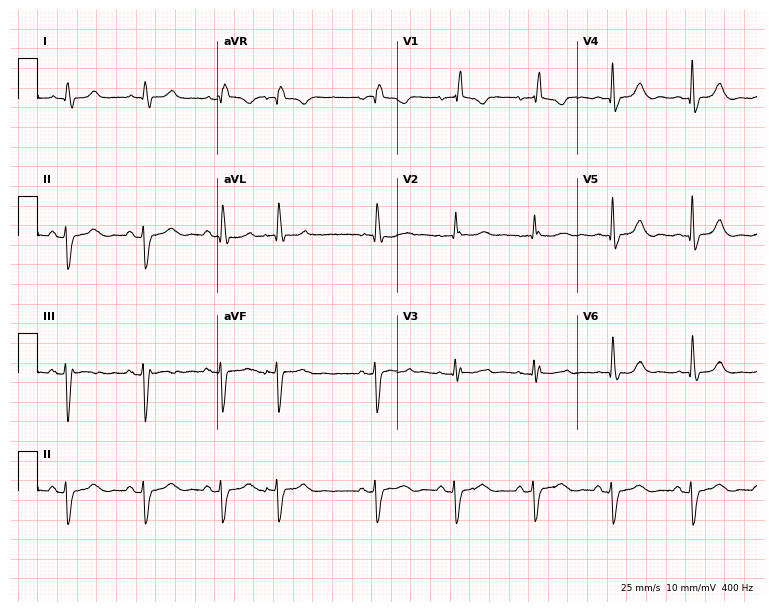
12-lead ECG (7.3-second recording at 400 Hz) from an 84-year-old female patient. Screened for six findings — first-degree AV block, right bundle branch block, left bundle branch block, sinus bradycardia, atrial fibrillation, sinus tachycardia — none is recorded.